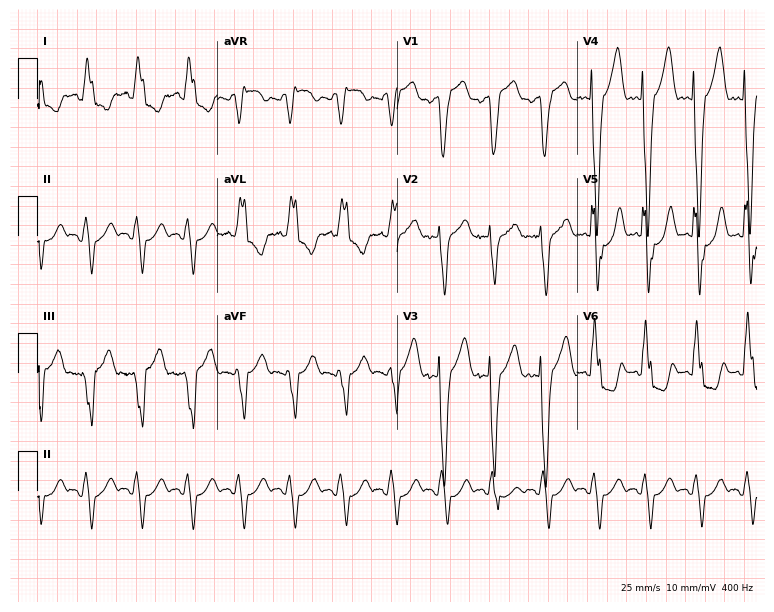
Electrocardiogram, an 85-year-old woman. Interpretation includes left bundle branch block (LBBB), sinus tachycardia (a sinus rate of 100 beats per minute or more).